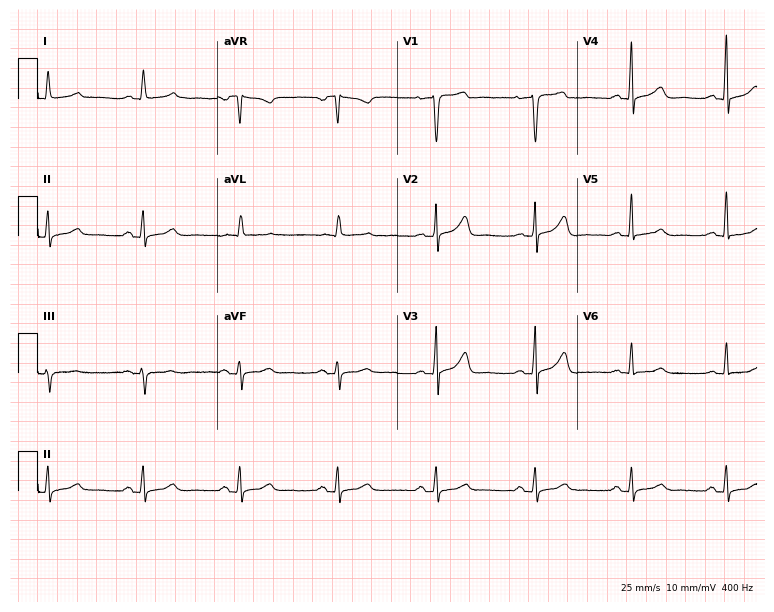
Electrocardiogram, a 61-year-old female patient. Overall reading on record: normal ECG.